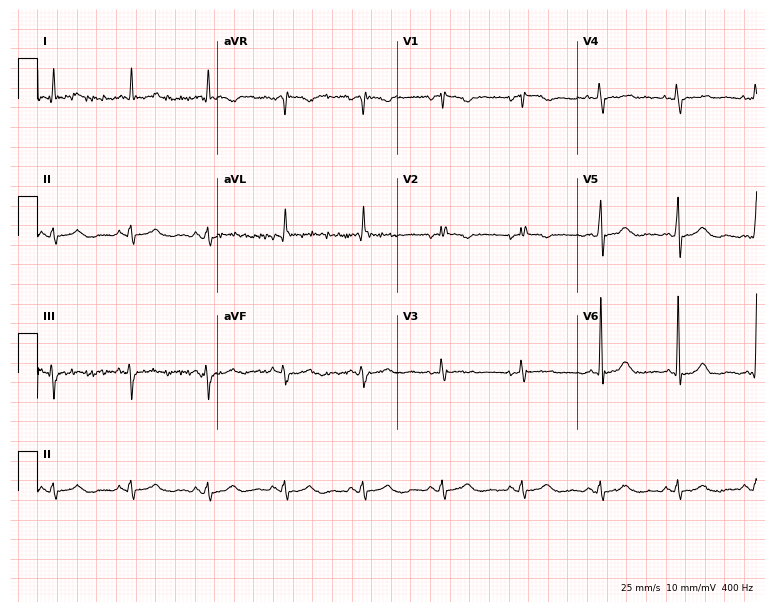
12-lead ECG (7.3-second recording at 400 Hz) from a female patient, 68 years old. Screened for six findings — first-degree AV block, right bundle branch block (RBBB), left bundle branch block (LBBB), sinus bradycardia, atrial fibrillation (AF), sinus tachycardia — none is recorded.